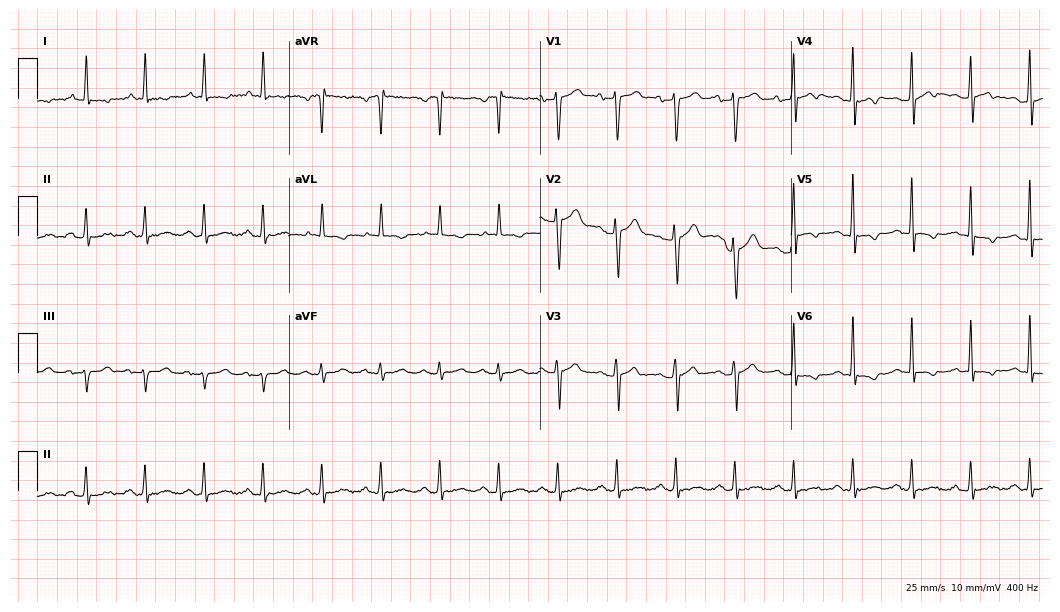
Standard 12-lead ECG recorded from a 70-year-old male patient (10.2-second recording at 400 Hz). The tracing shows sinus tachycardia (a sinus rate of 100 beats per minute or more).